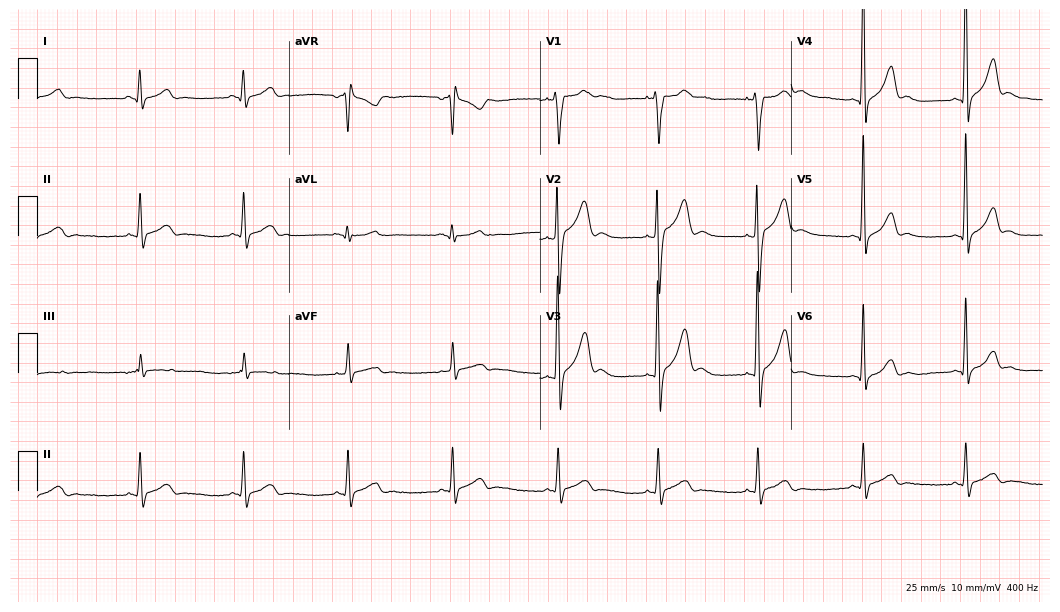
12-lead ECG from a male, 17 years old. Recorded interpretation: within normal limits.